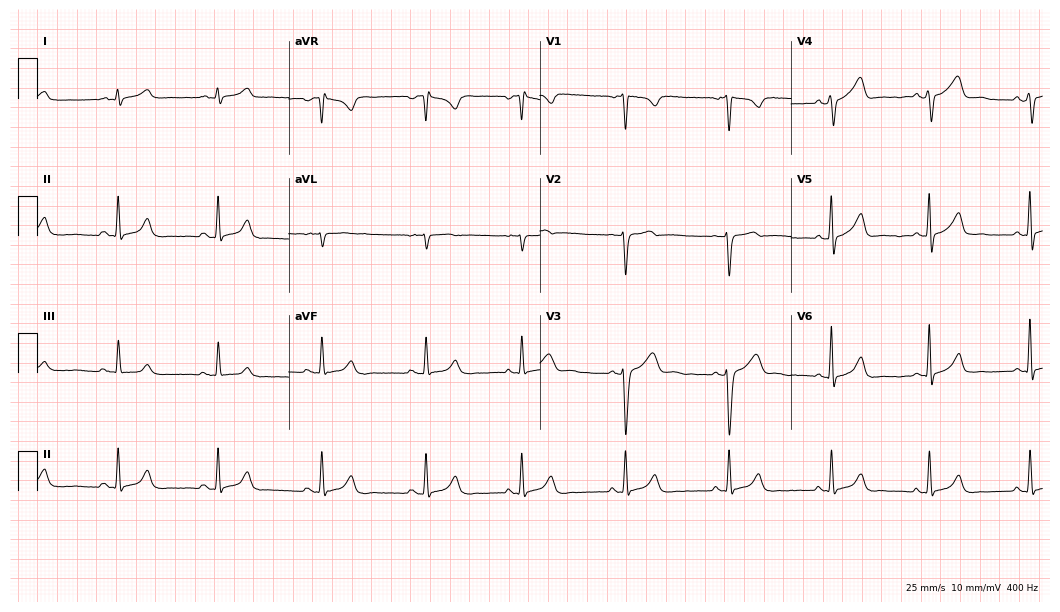
ECG (10.2-second recording at 400 Hz) — a male patient, 37 years old. Screened for six findings — first-degree AV block, right bundle branch block (RBBB), left bundle branch block (LBBB), sinus bradycardia, atrial fibrillation (AF), sinus tachycardia — none is recorded.